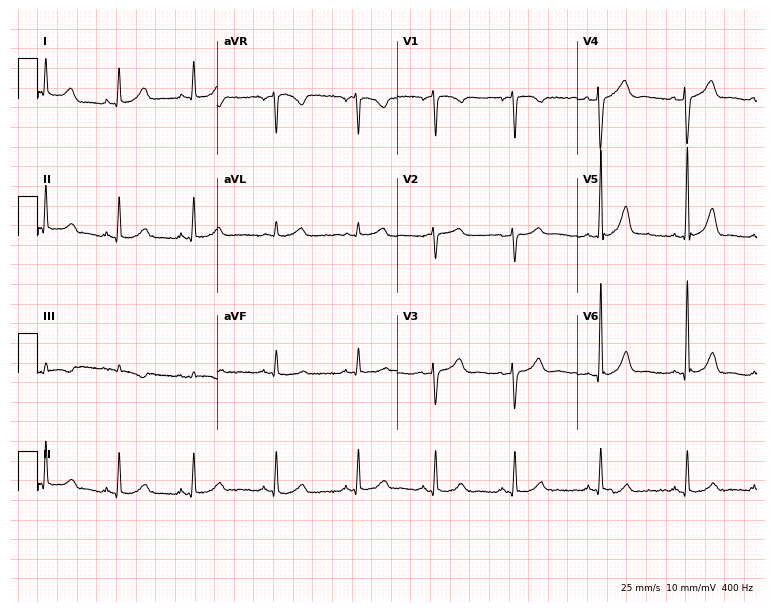
12-lead ECG from a 40-year-old female patient (7.3-second recording at 400 Hz). No first-degree AV block, right bundle branch block, left bundle branch block, sinus bradycardia, atrial fibrillation or sinus tachycardia recorded for this tracing. Other findings, if any, are not listed.